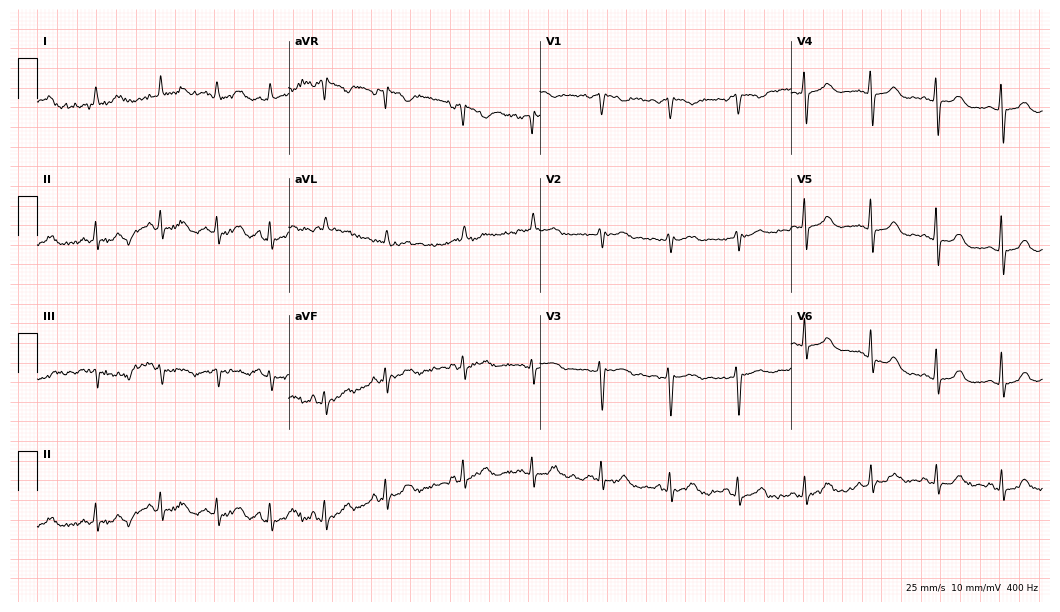
12-lead ECG from a 71-year-old female patient. No first-degree AV block, right bundle branch block, left bundle branch block, sinus bradycardia, atrial fibrillation or sinus tachycardia recorded for this tracing. Only these six findings were labelled.